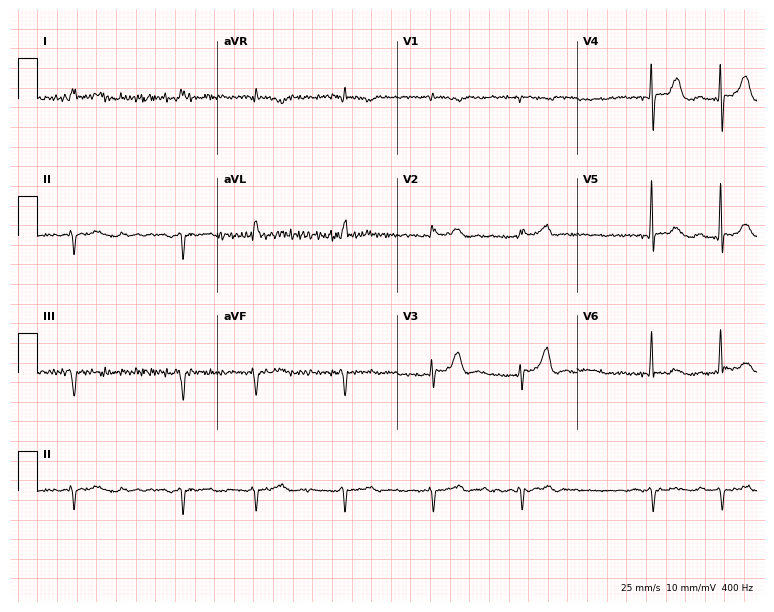
Electrocardiogram, a 65-year-old male patient. Interpretation includes atrial fibrillation.